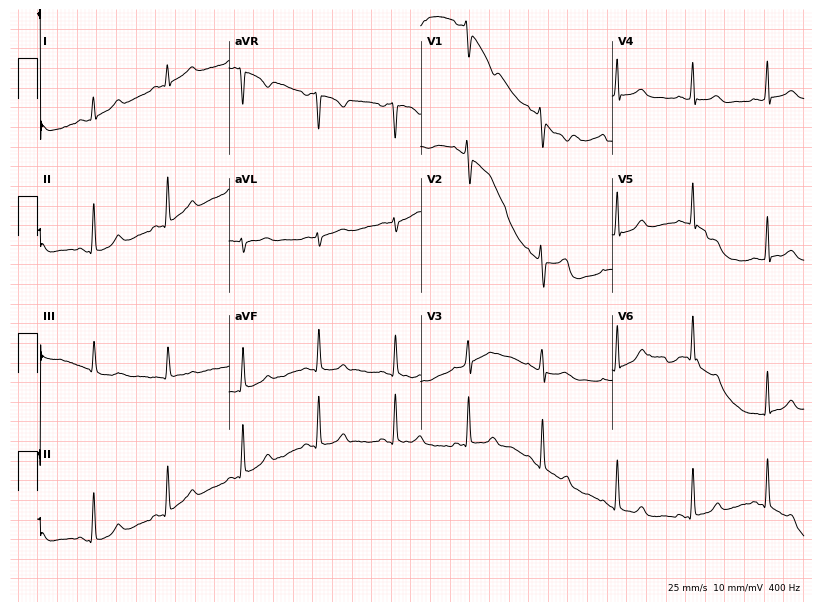
ECG — a female patient, 33 years old. Labelled as a normal ECG.